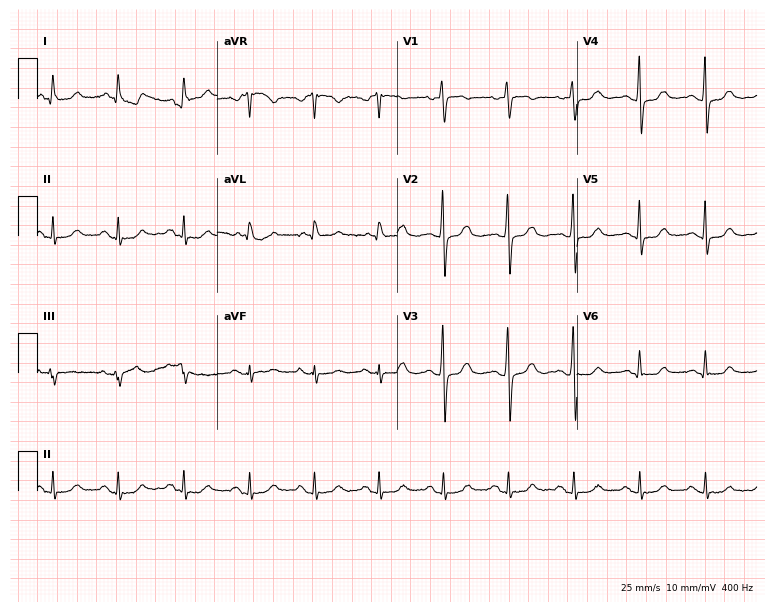
ECG — a 55-year-old female patient. Screened for six findings — first-degree AV block, right bundle branch block, left bundle branch block, sinus bradycardia, atrial fibrillation, sinus tachycardia — none is recorded. Findings outside these six are not listed.